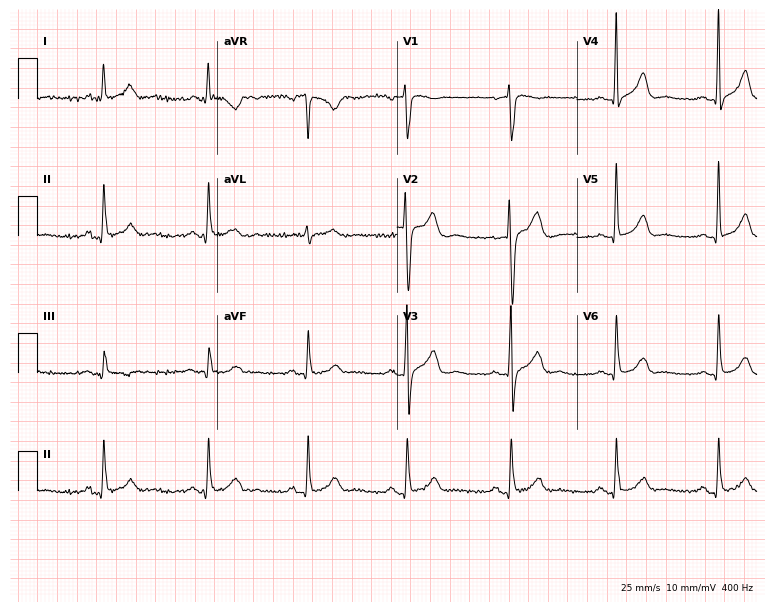
Resting 12-lead electrocardiogram. Patient: a 48-year-old female. Read as a normal ECG.